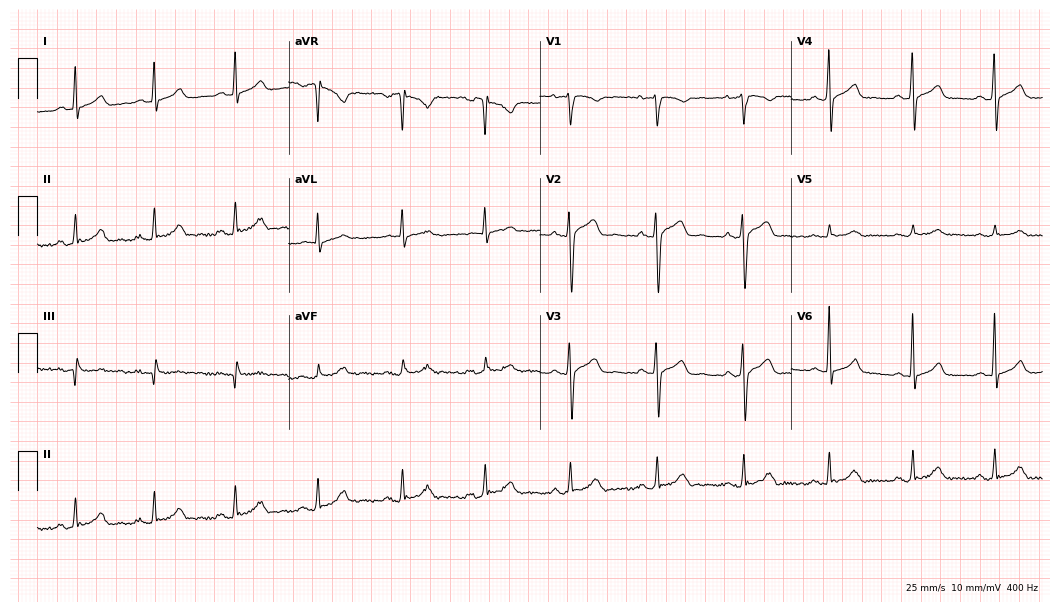
12-lead ECG from a man, 33 years old (10.2-second recording at 400 Hz). Recorded interpretation: within normal limits.